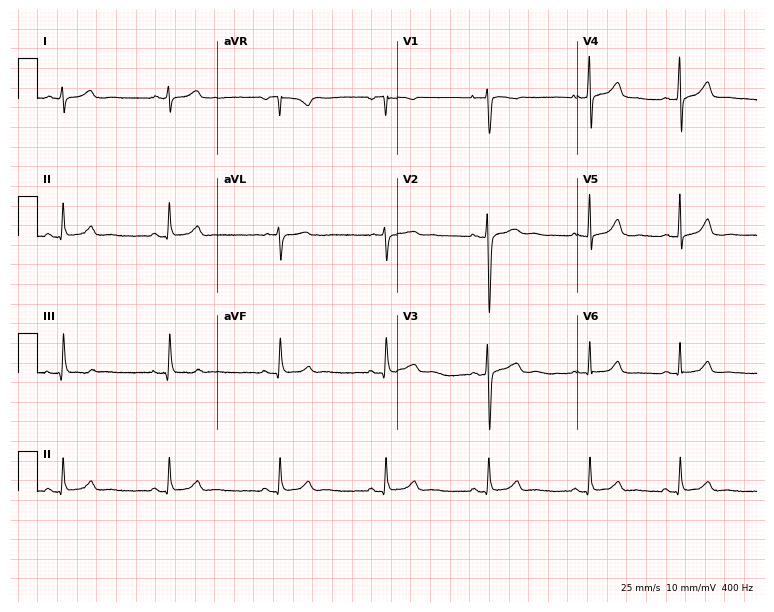
Standard 12-lead ECG recorded from a 24-year-old female (7.3-second recording at 400 Hz). None of these six findings is recorded: first-degree AV block, right bundle branch block, left bundle branch block, sinus bradycardia, atrial fibrillation, sinus tachycardia. Only these six findings were labelled.